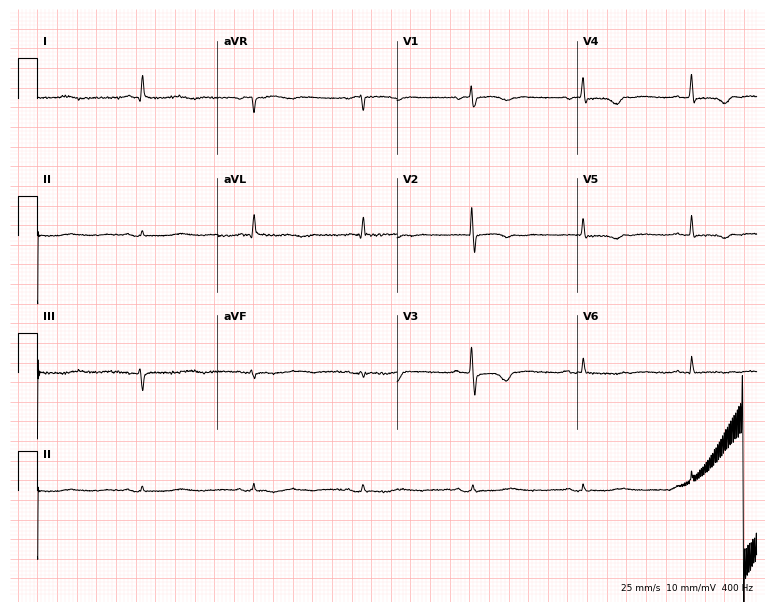
Standard 12-lead ECG recorded from a female patient, 72 years old. None of these six findings is recorded: first-degree AV block, right bundle branch block (RBBB), left bundle branch block (LBBB), sinus bradycardia, atrial fibrillation (AF), sinus tachycardia. Findings outside these six are not listed.